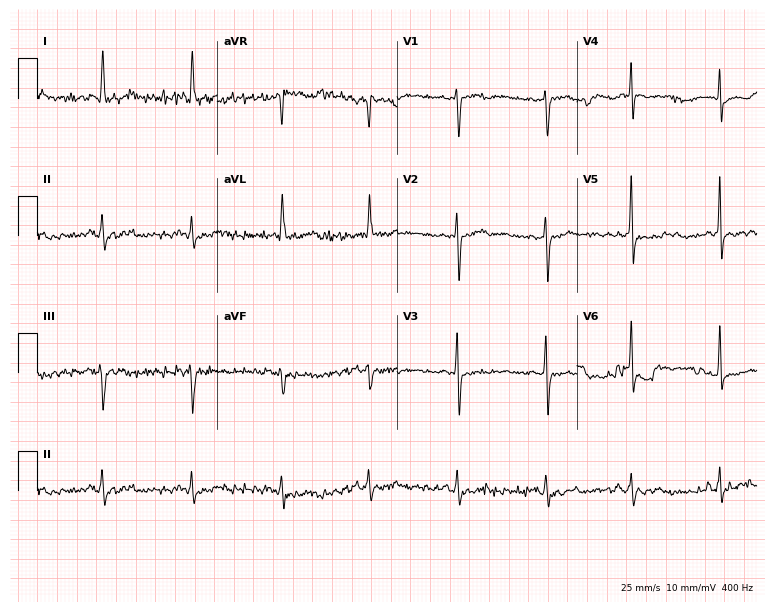
12-lead ECG (7.3-second recording at 400 Hz) from a woman, 51 years old. Screened for six findings — first-degree AV block, right bundle branch block, left bundle branch block, sinus bradycardia, atrial fibrillation, sinus tachycardia — none is recorded.